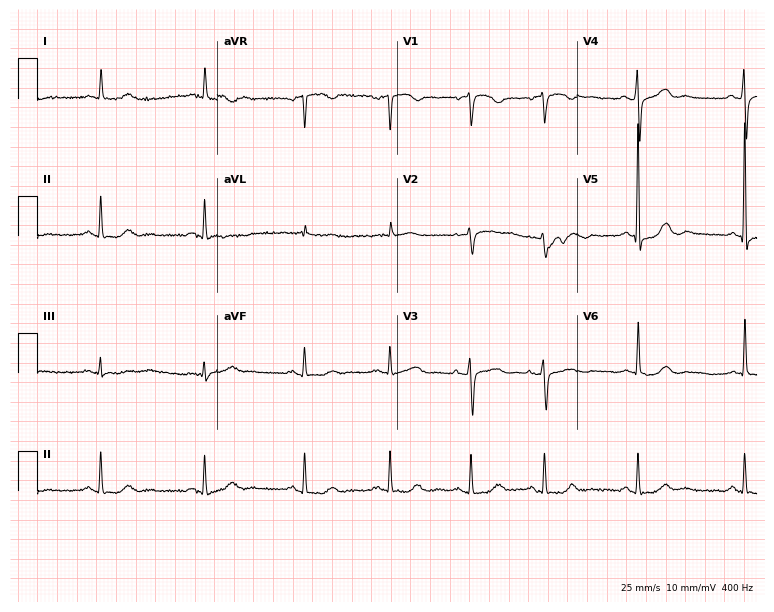
Electrocardiogram (7.3-second recording at 400 Hz), an 81-year-old female patient. Overall reading on record: normal ECG.